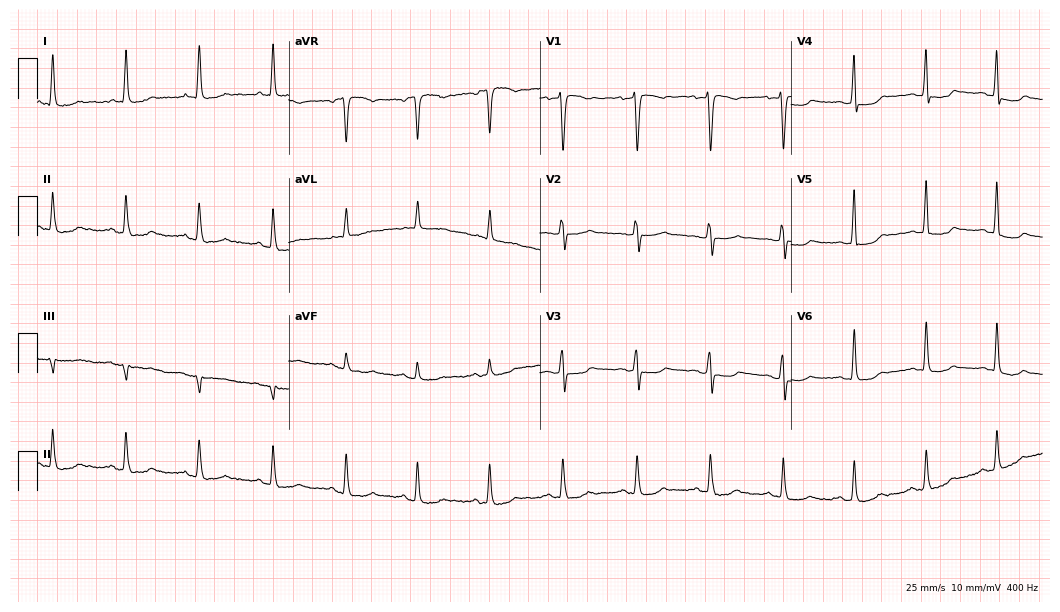
Electrocardiogram (10.2-second recording at 400 Hz), a female patient, 46 years old. Of the six screened findings (first-degree AV block, right bundle branch block (RBBB), left bundle branch block (LBBB), sinus bradycardia, atrial fibrillation (AF), sinus tachycardia), none is recorded.